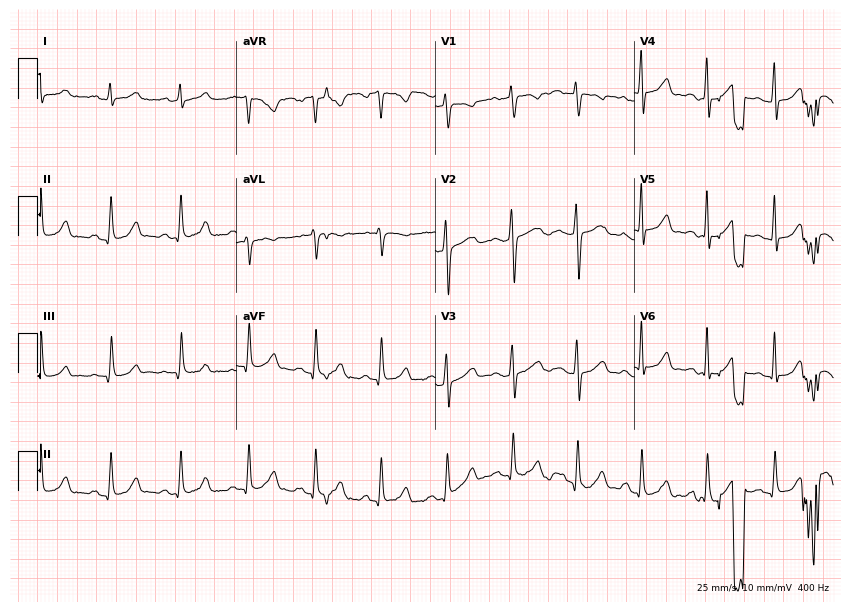
Standard 12-lead ECG recorded from a female patient, 24 years old. Read as a normal ECG.